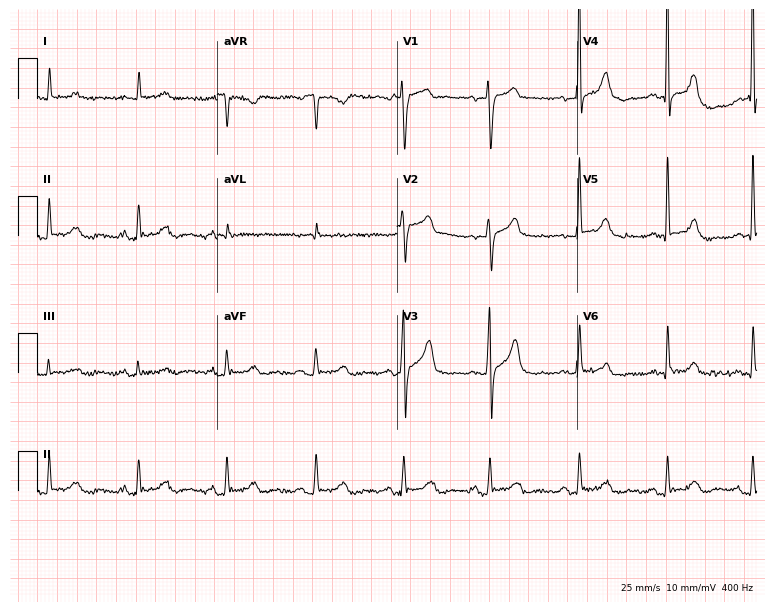
Resting 12-lead electrocardiogram. Patient: a male, 75 years old. Read as a normal ECG.